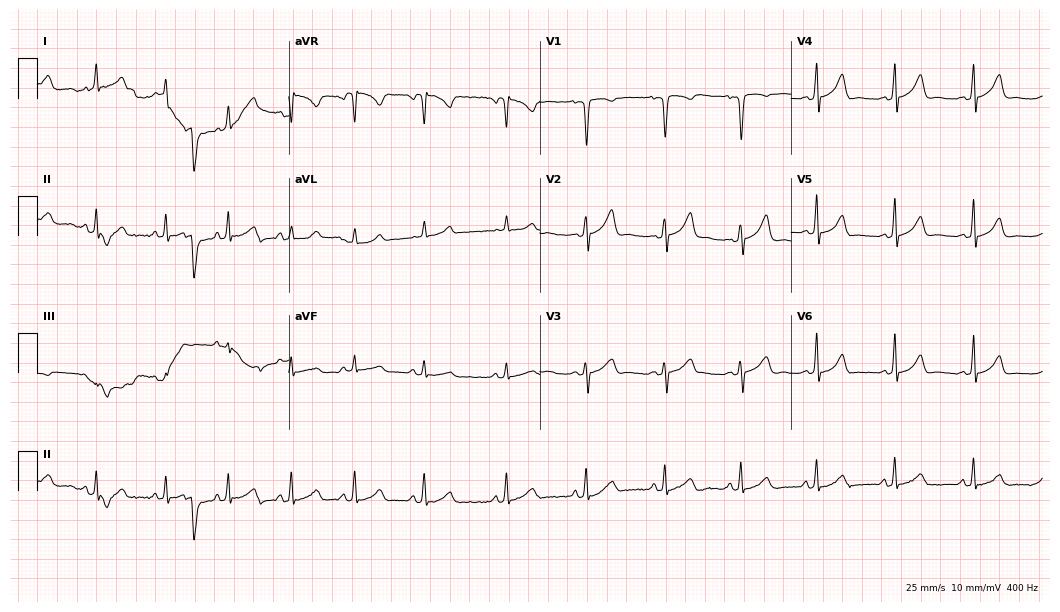
12-lead ECG from a woman, 19 years old (10.2-second recording at 400 Hz). Recorded interpretation: within normal limits.